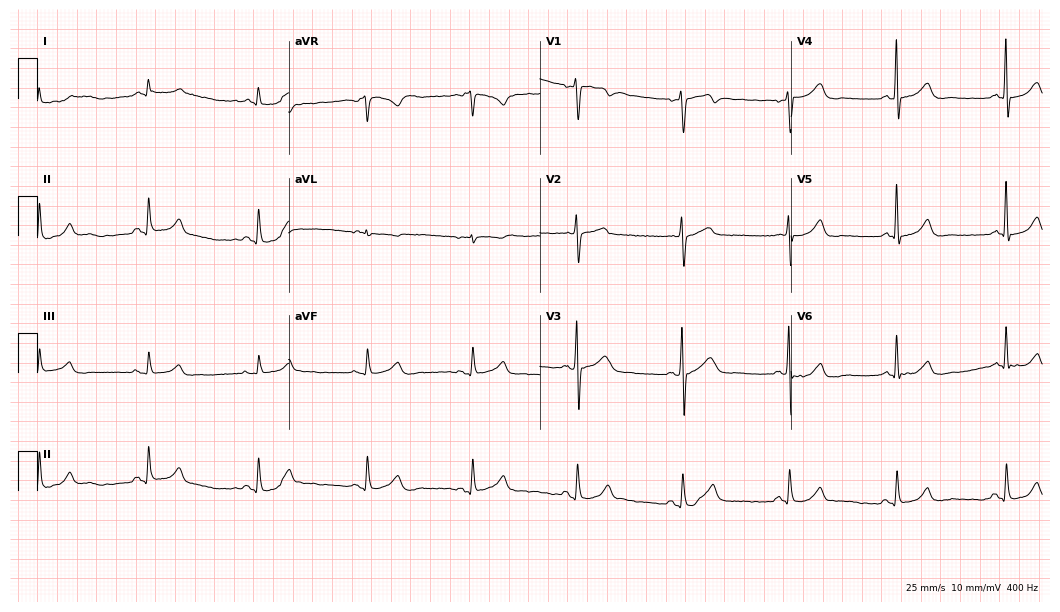
Electrocardiogram (10.2-second recording at 400 Hz), a man, 59 years old. Overall reading on record: normal ECG.